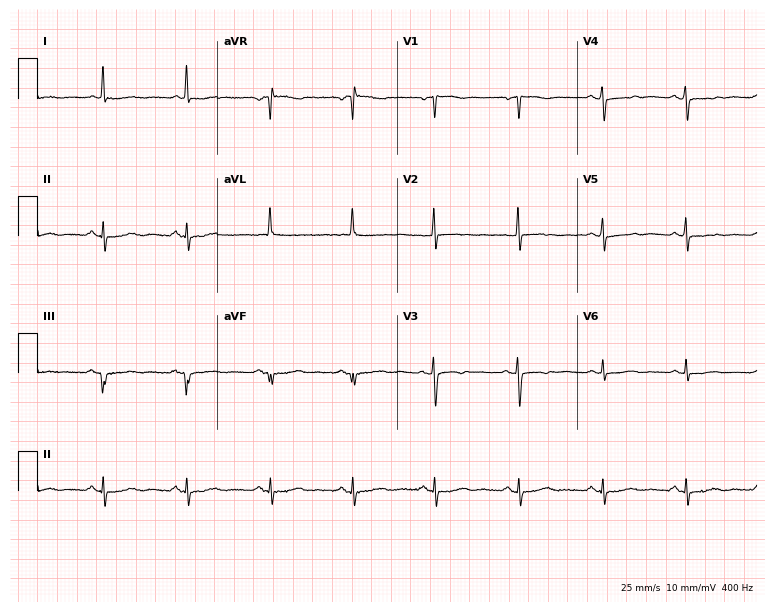
Standard 12-lead ECG recorded from a female patient, 75 years old (7.3-second recording at 400 Hz). None of these six findings is recorded: first-degree AV block, right bundle branch block (RBBB), left bundle branch block (LBBB), sinus bradycardia, atrial fibrillation (AF), sinus tachycardia. Only these six findings were labelled.